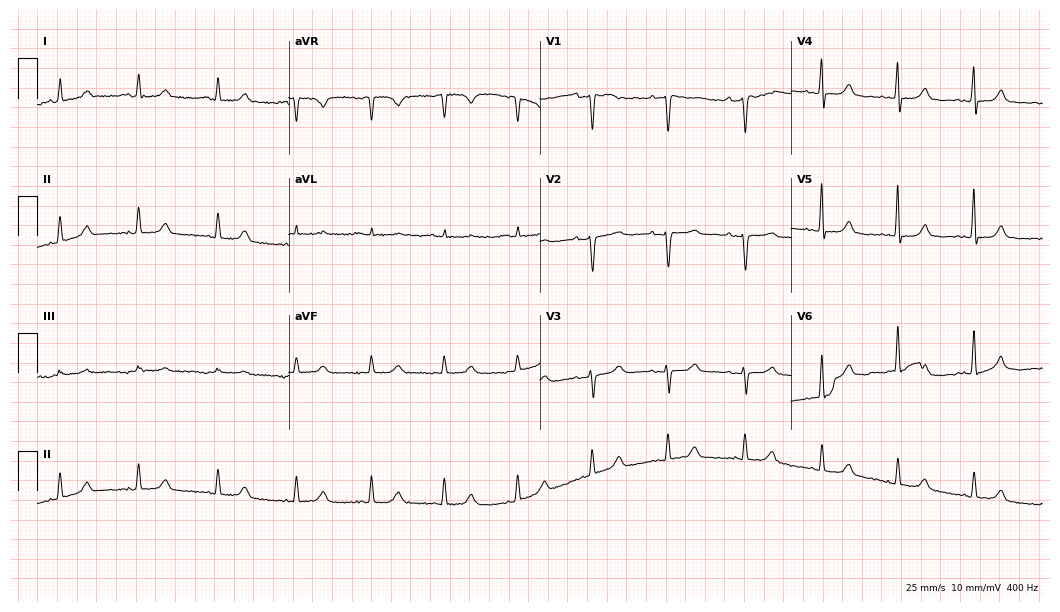
Standard 12-lead ECG recorded from a female, 73 years old (10.2-second recording at 400 Hz). Read as a normal ECG.